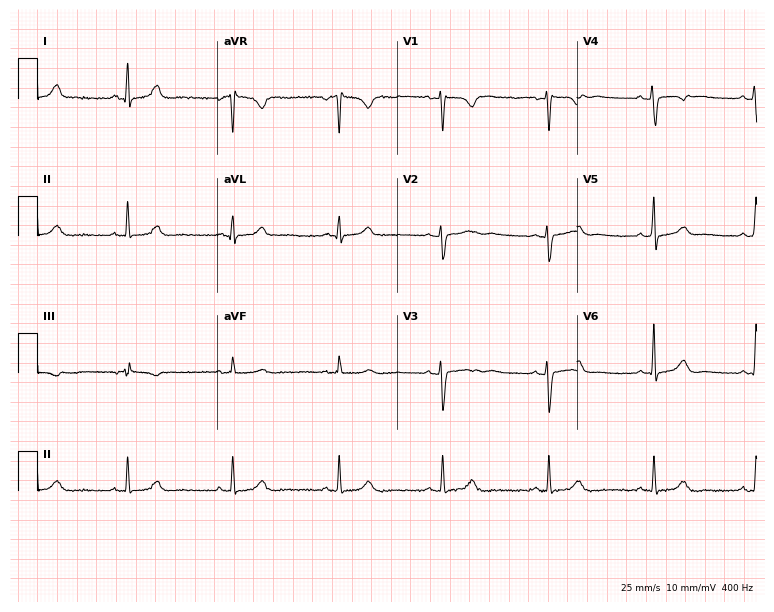
12-lead ECG from a woman, 44 years old (7.3-second recording at 400 Hz). Recorded interpretation: within normal limits.